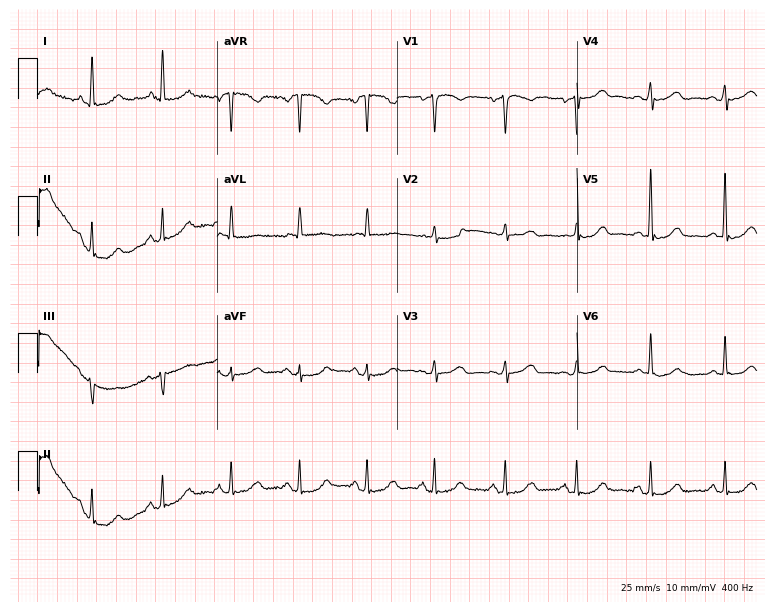
Resting 12-lead electrocardiogram. Patient: a female, 59 years old. Read as a normal ECG.